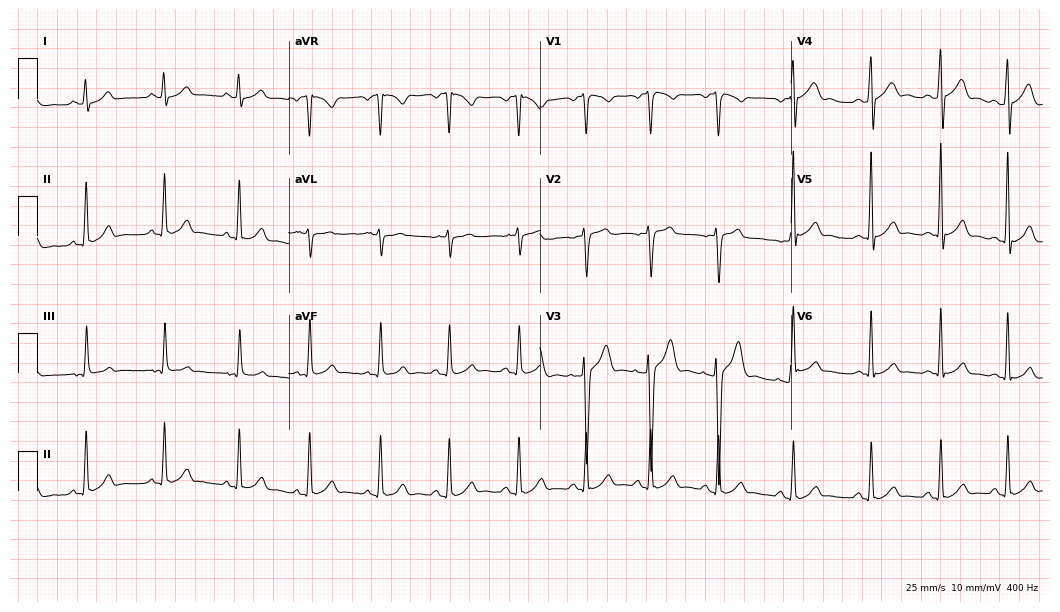
12-lead ECG (10.2-second recording at 400 Hz) from a 21-year-old male. Labelled as a normal ECG.